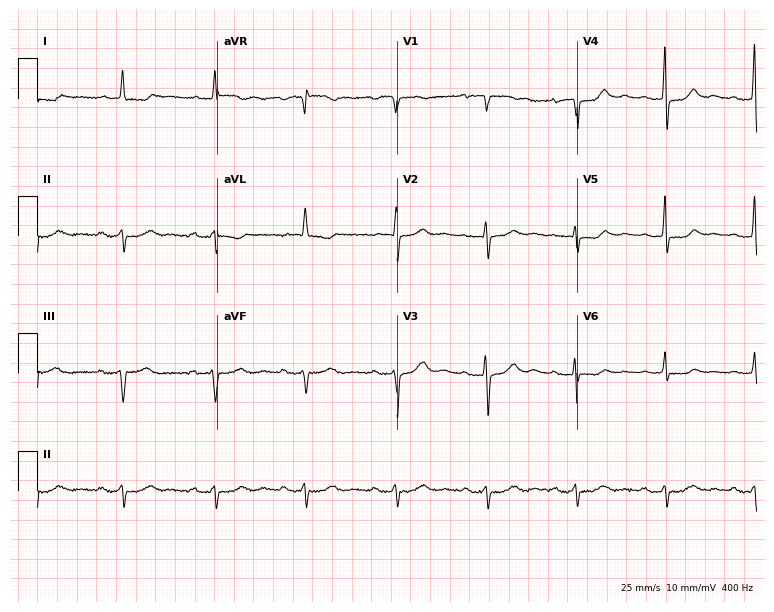
Electrocardiogram, a woman, 84 years old. Of the six screened findings (first-degree AV block, right bundle branch block (RBBB), left bundle branch block (LBBB), sinus bradycardia, atrial fibrillation (AF), sinus tachycardia), none is recorded.